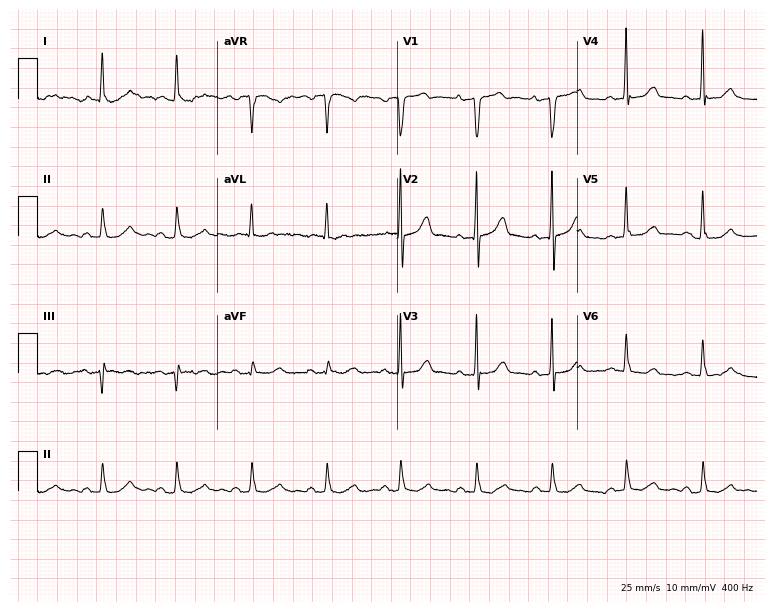
12-lead ECG from an 81-year-old female. Labelled as a normal ECG.